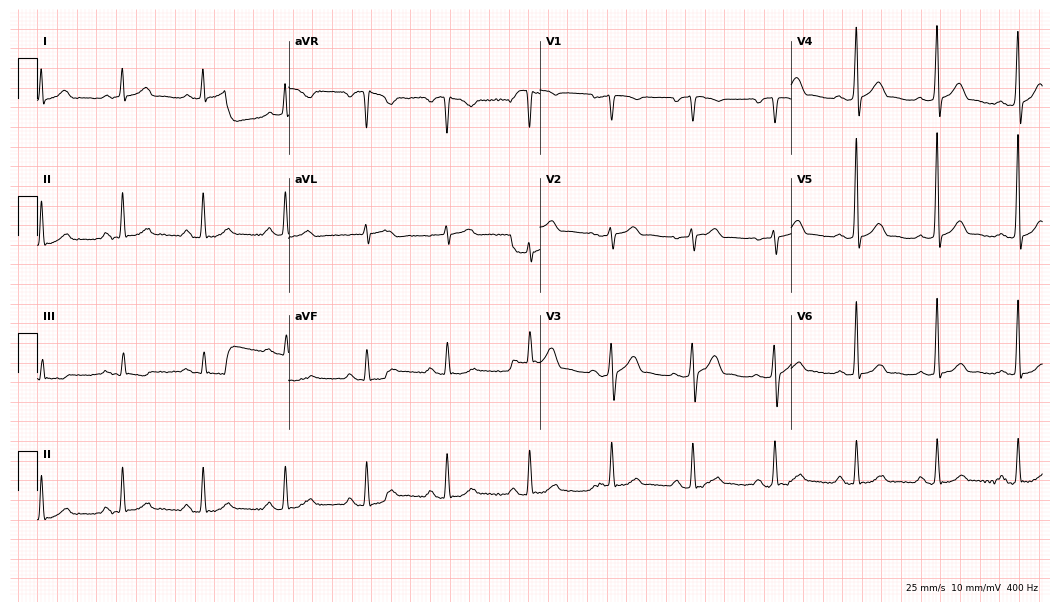
Standard 12-lead ECG recorded from a male patient, 57 years old (10.2-second recording at 400 Hz). Read as a normal ECG.